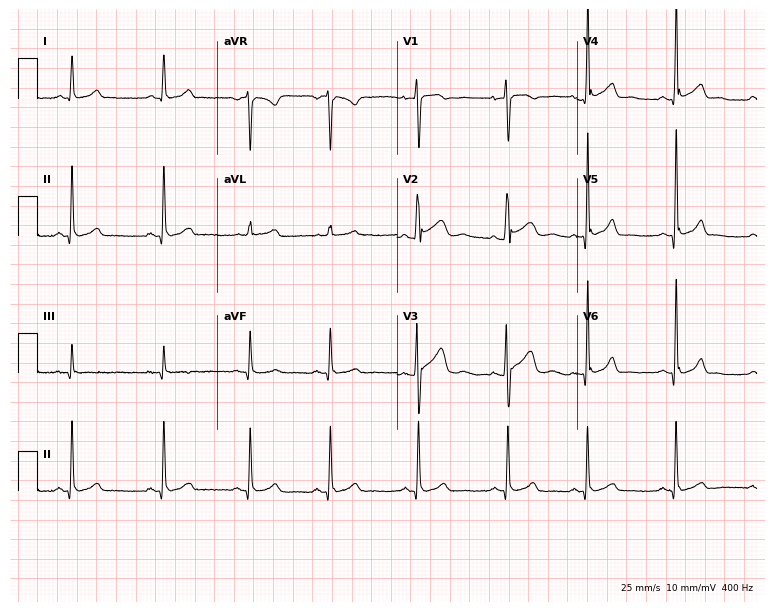
Electrocardiogram (7.3-second recording at 400 Hz), a 17-year-old male patient. Of the six screened findings (first-degree AV block, right bundle branch block (RBBB), left bundle branch block (LBBB), sinus bradycardia, atrial fibrillation (AF), sinus tachycardia), none is recorded.